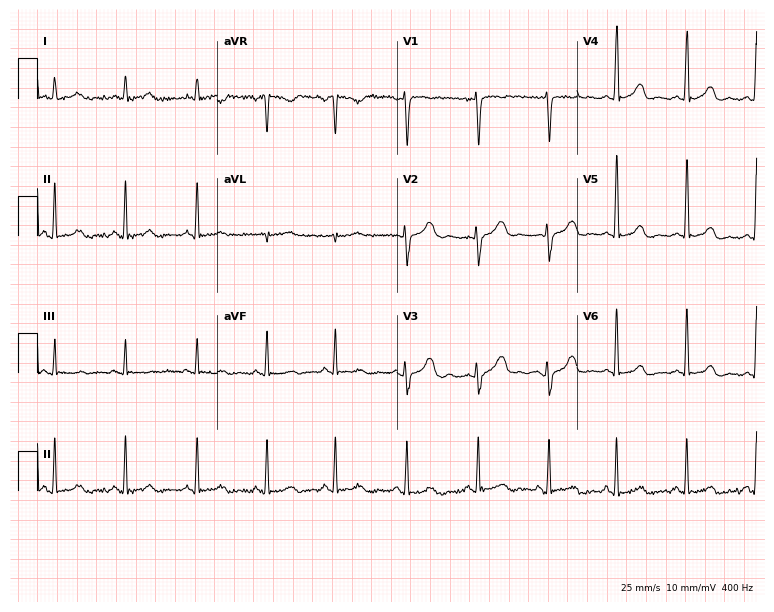
ECG — a 27-year-old woman. Screened for six findings — first-degree AV block, right bundle branch block, left bundle branch block, sinus bradycardia, atrial fibrillation, sinus tachycardia — none is recorded.